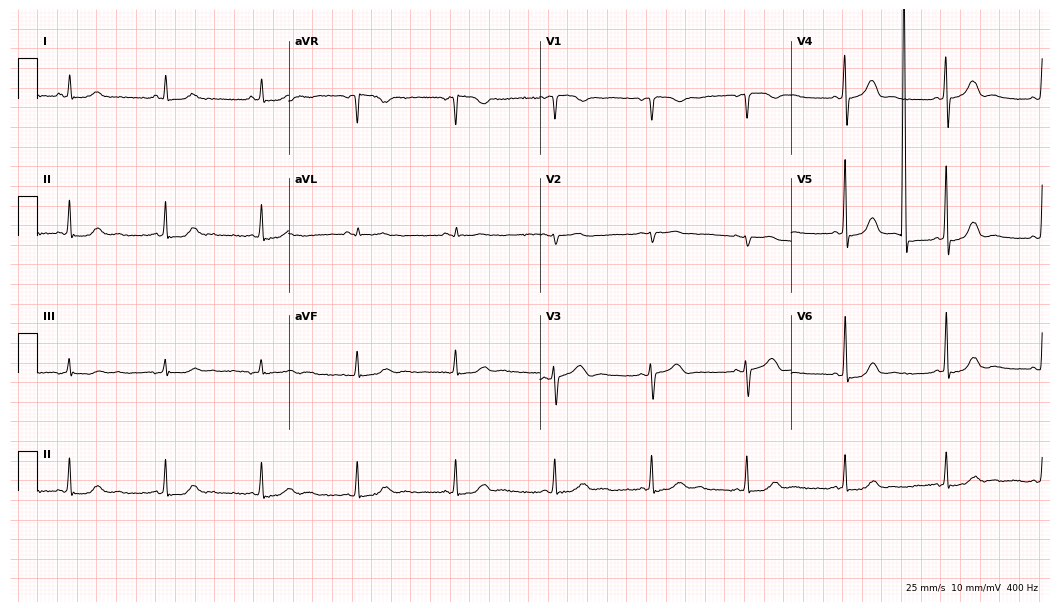
12-lead ECG from a woman, 53 years old (10.2-second recording at 400 Hz). Recorded interpretation: within normal limits.